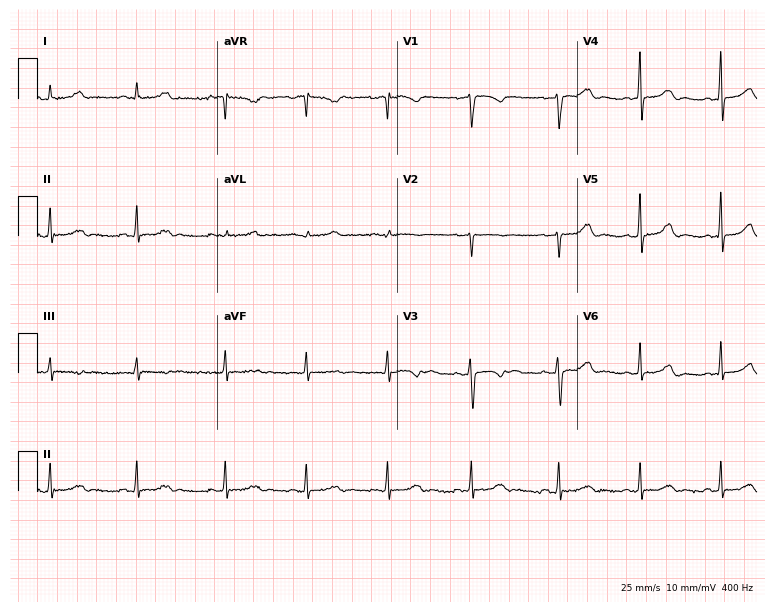
Resting 12-lead electrocardiogram (7.3-second recording at 400 Hz). Patient: a 40-year-old female. Read as a normal ECG.